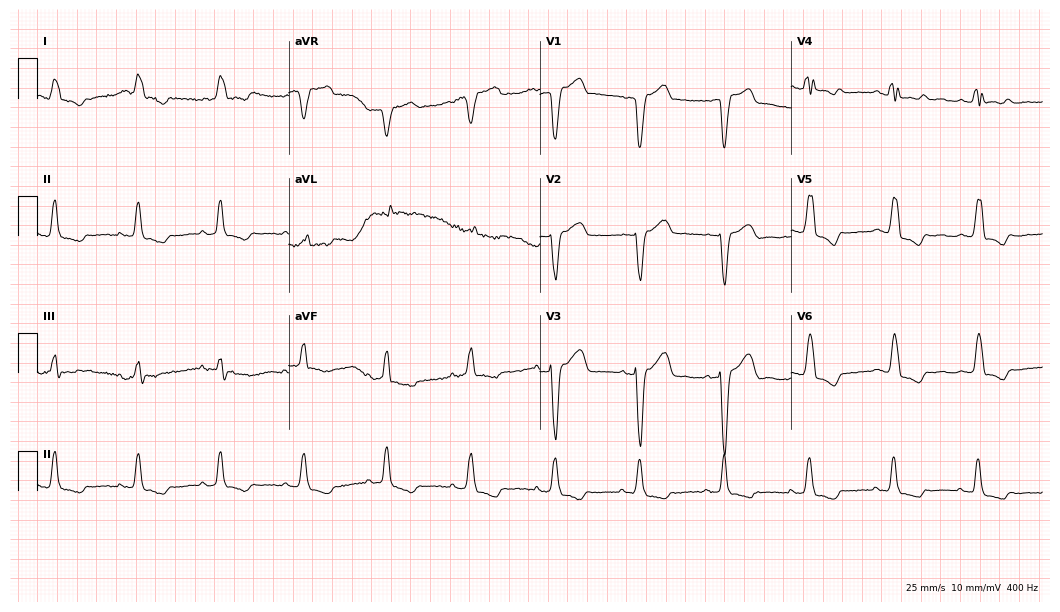
12-lead ECG from a male, 76 years old (10.2-second recording at 400 Hz). Shows left bundle branch block (LBBB).